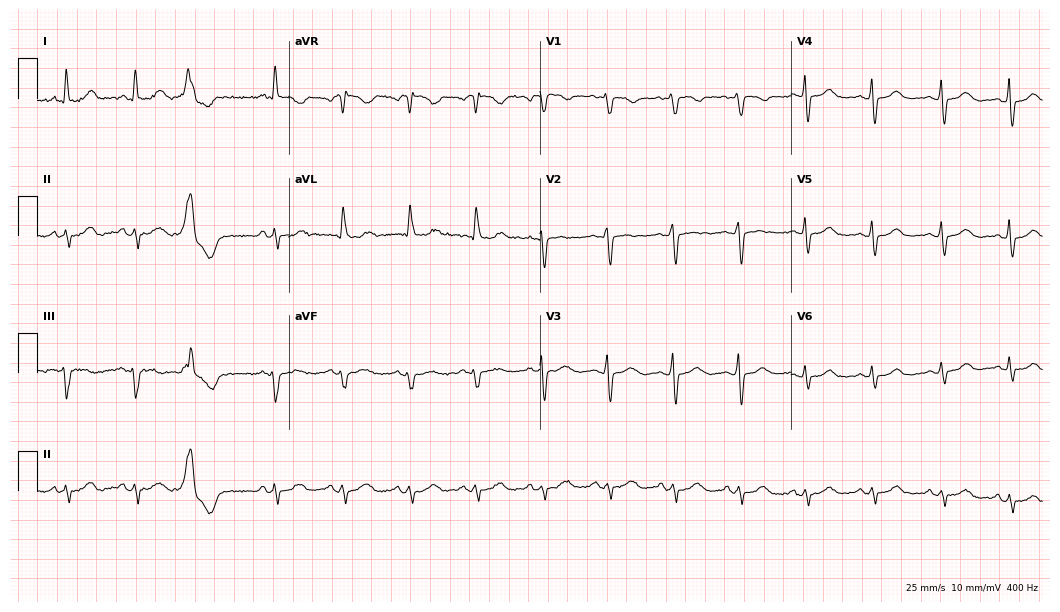
12-lead ECG (10.2-second recording at 400 Hz) from a female, 76 years old. Screened for six findings — first-degree AV block, right bundle branch block, left bundle branch block, sinus bradycardia, atrial fibrillation, sinus tachycardia — none is recorded. Only these six findings were labelled.